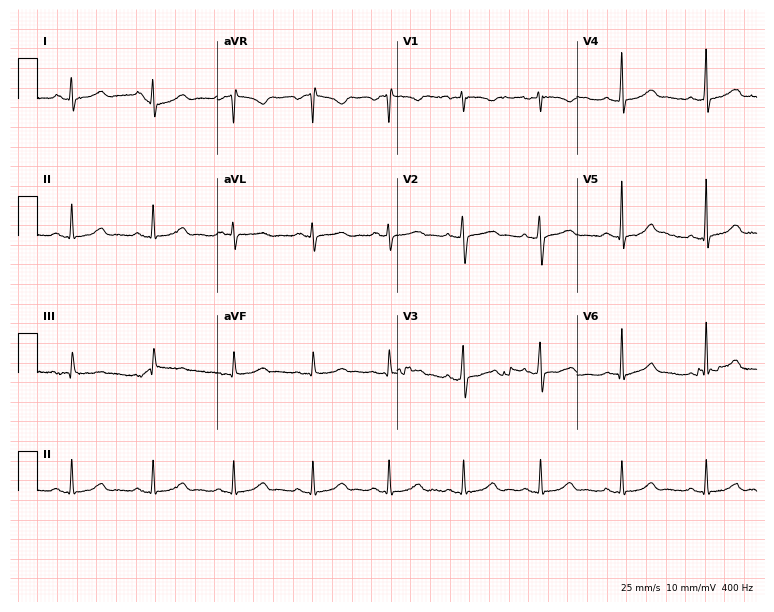
12-lead ECG from a 38-year-old woman (7.3-second recording at 400 Hz). Recorded interpretation: within normal limits.